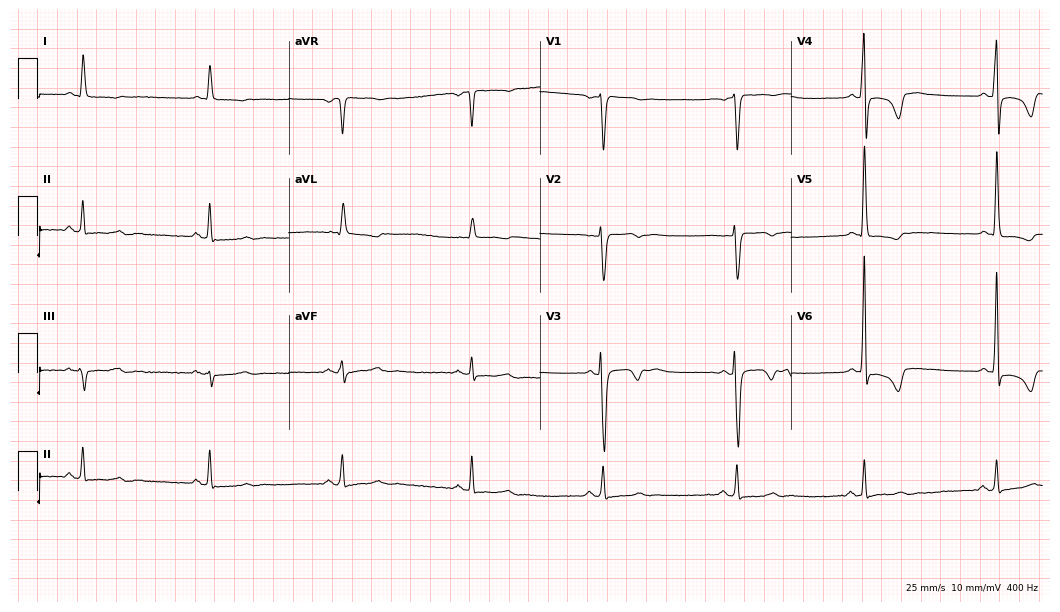
ECG (10.2-second recording at 400 Hz) — a female patient, 43 years old. Findings include sinus bradycardia (a sinus rate of 50 beats per minute or less).